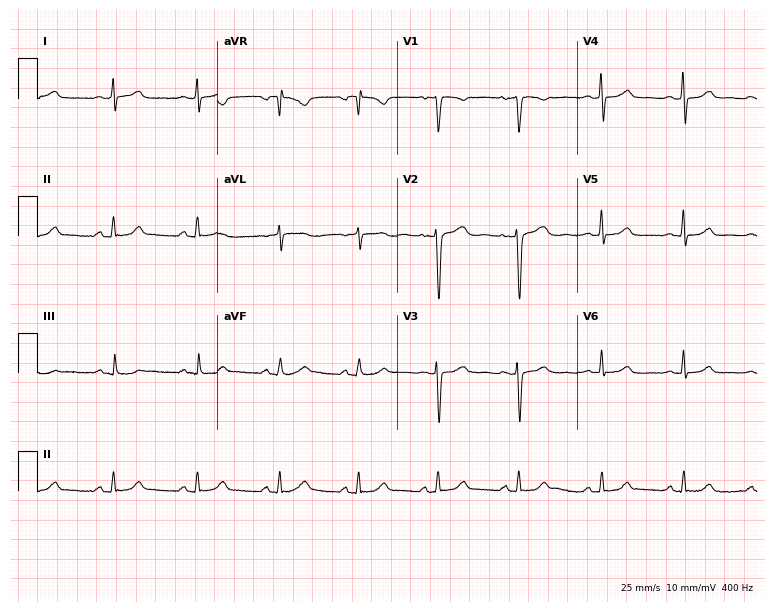
12-lead ECG (7.3-second recording at 400 Hz) from a female patient, 42 years old. Screened for six findings — first-degree AV block, right bundle branch block, left bundle branch block, sinus bradycardia, atrial fibrillation, sinus tachycardia — none is recorded.